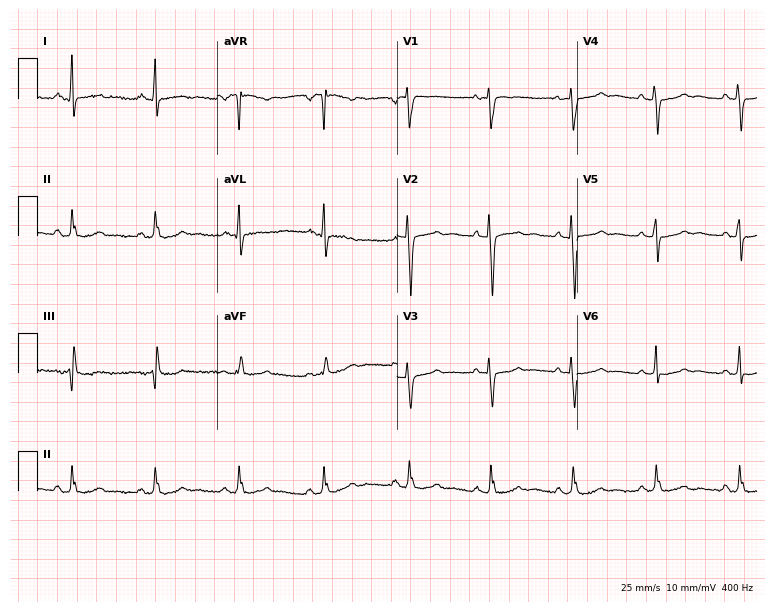
Electrocardiogram (7.3-second recording at 400 Hz), a 67-year-old female. Overall reading on record: normal ECG.